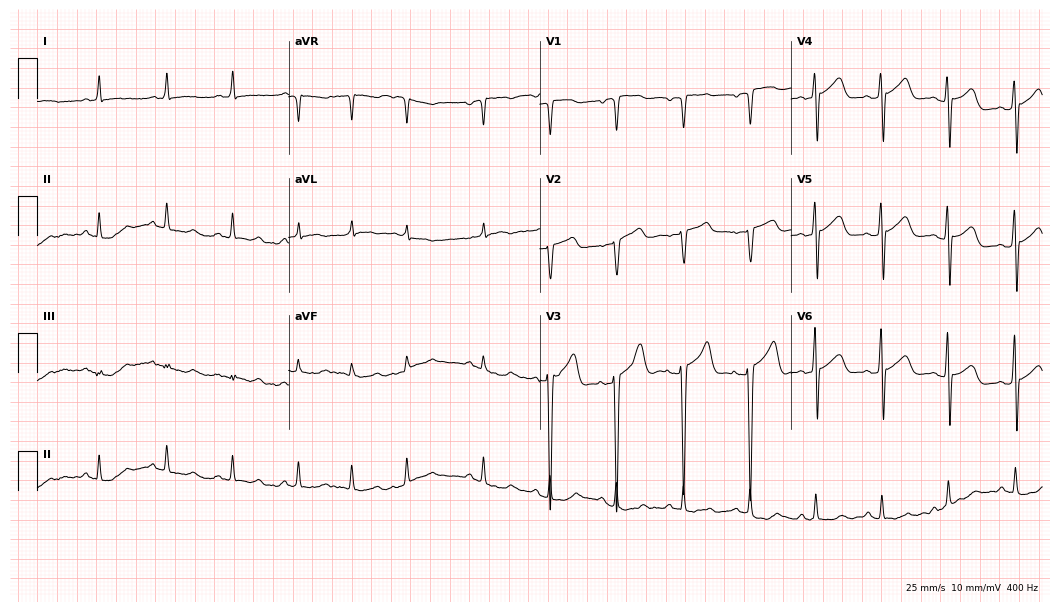
Resting 12-lead electrocardiogram (10.2-second recording at 400 Hz). Patient: a 76-year-old male. None of these six findings is recorded: first-degree AV block, right bundle branch block, left bundle branch block, sinus bradycardia, atrial fibrillation, sinus tachycardia. Findings outside these six are not listed.